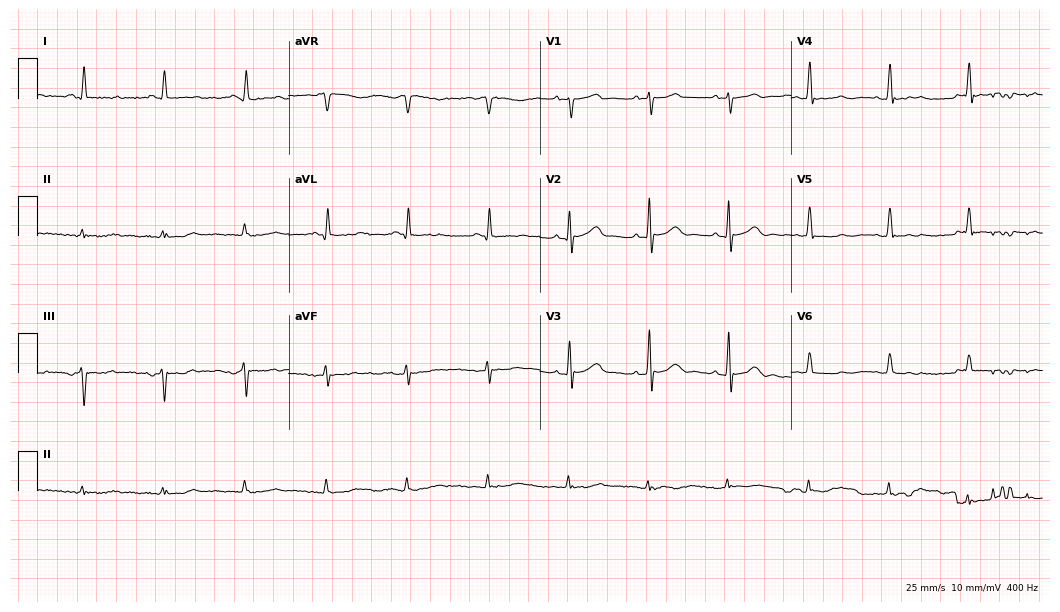
Electrocardiogram, a male, 64 years old. Of the six screened findings (first-degree AV block, right bundle branch block, left bundle branch block, sinus bradycardia, atrial fibrillation, sinus tachycardia), none is recorded. Other findings, if any, are not listed.